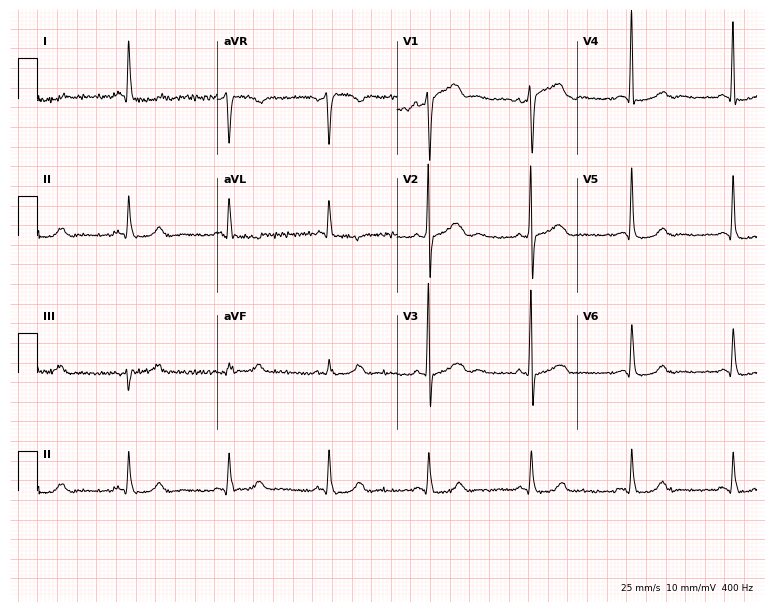
Electrocardiogram (7.3-second recording at 400 Hz), a male patient, 65 years old. Of the six screened findings (first-degree AV block, right bundle branch block (RBBB), left bundle branch block (LBBB), sinus bradycardia, atrial fibrillation (AF), sinus tachycardia), none is recorded.